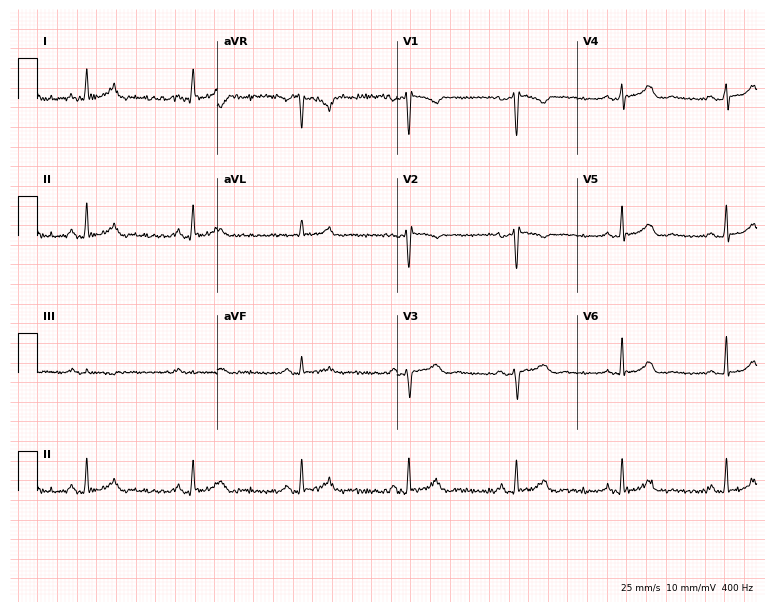
Electrocardiogram (7.3-second recording at 400 Hz), a 52-year-old female patient. Of the six screened findings (first-degree AV block, right bundle branch block, left bundle branch block, sinus bradycardia, atrial fibrillation, sinus tachycardia), none is recorded.